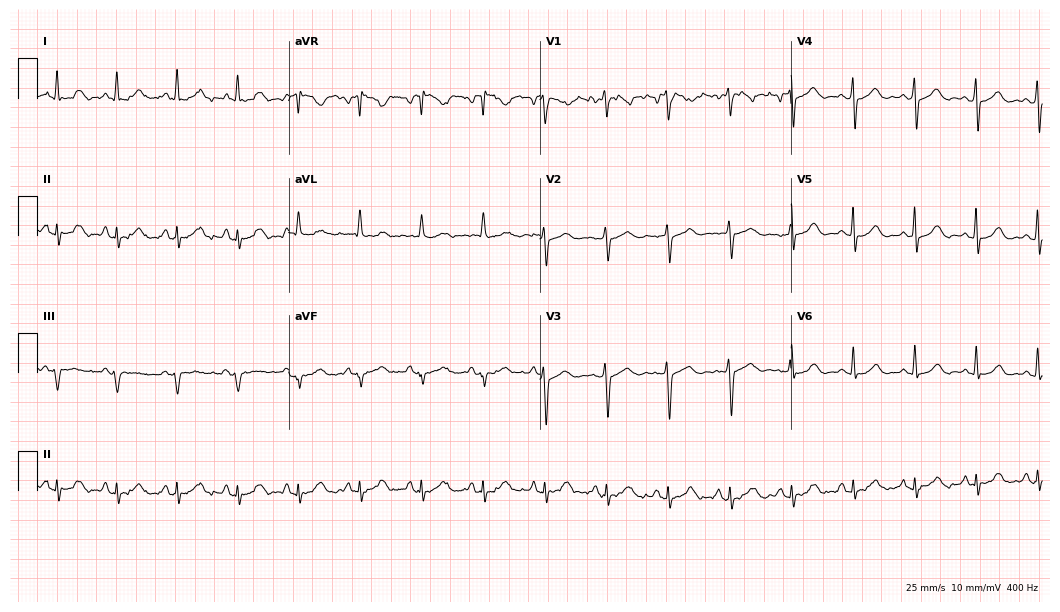
Resting 12-lead electrocardiogram (10.2-second recording at 400 Hz). Patient: a woman, 60 years old. None of these six findings is recorded: first-degree AV block, right bundle branch block, left bundle branch block, sinus bradycardia, atrial fibrillation, sinus tachycardia.